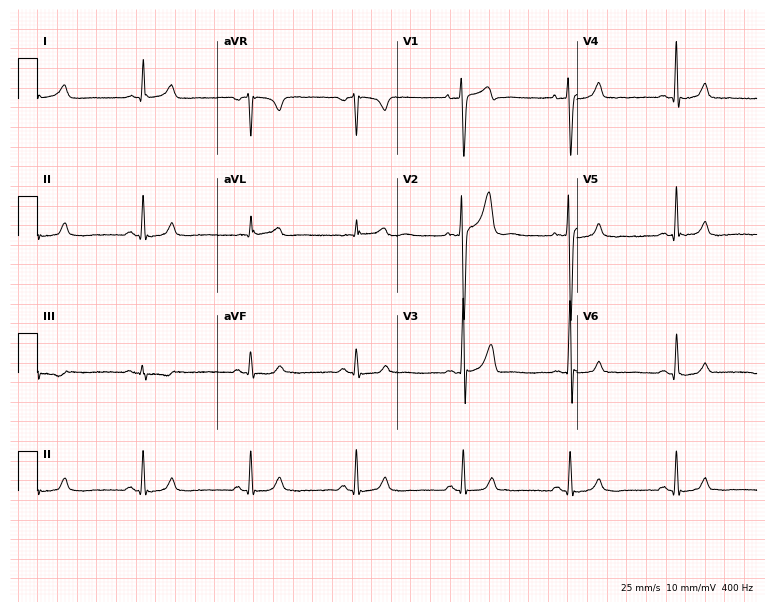
ECG — a 39-year-old man. Labelled as a normal ECG.